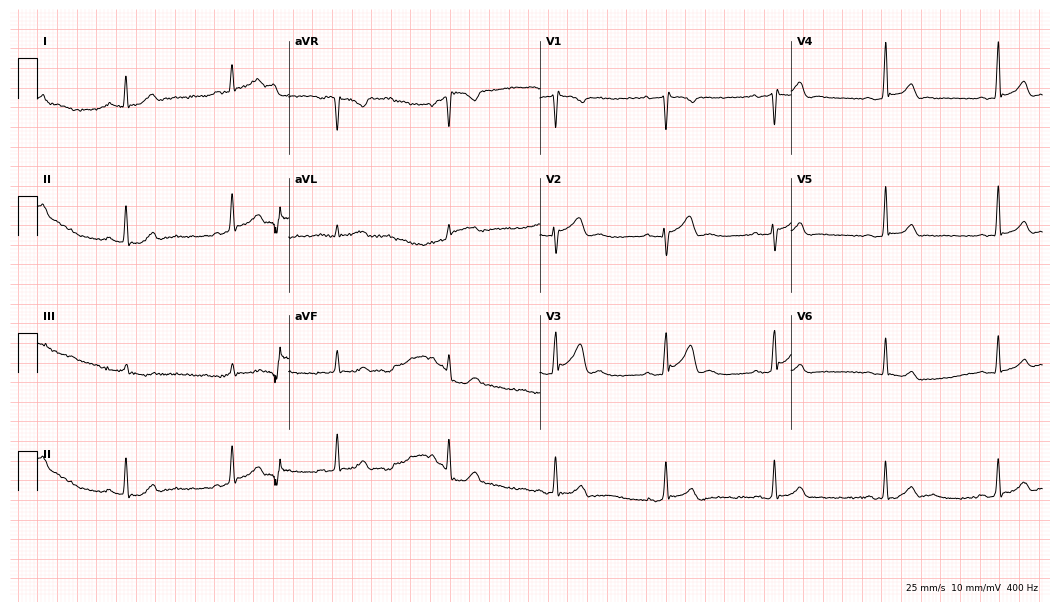
Standard 12-lead ECG recorded from a man, 26 years old. None of these six findings is recorded: first-degree AV block, right bundle branch block (RBBB), left bundle branch block (LBBB), sinus bradycardia, atrial fibrillation (AF), sinus tachycardia. Findings outside these six are not listed.